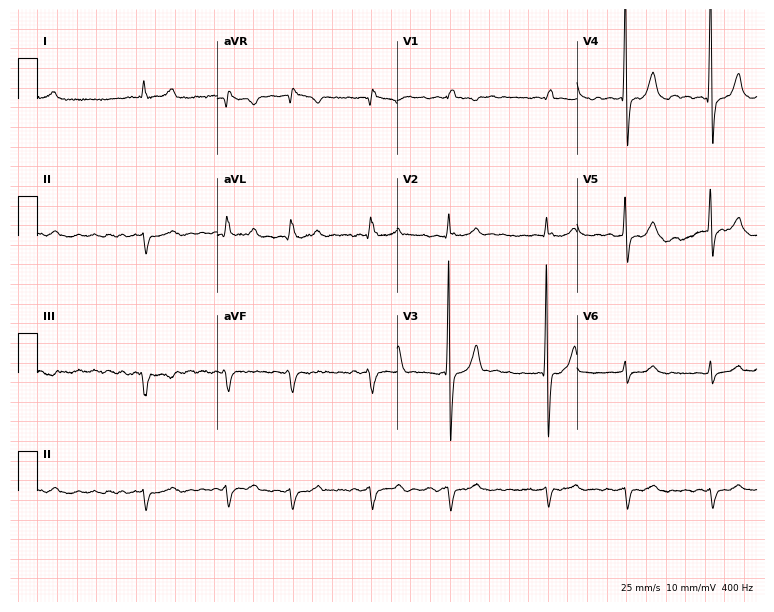
Standard 12-lead ECG recorded from a man, 73 years old. The tracing shows right bundle branch block, atrial fibrillation.